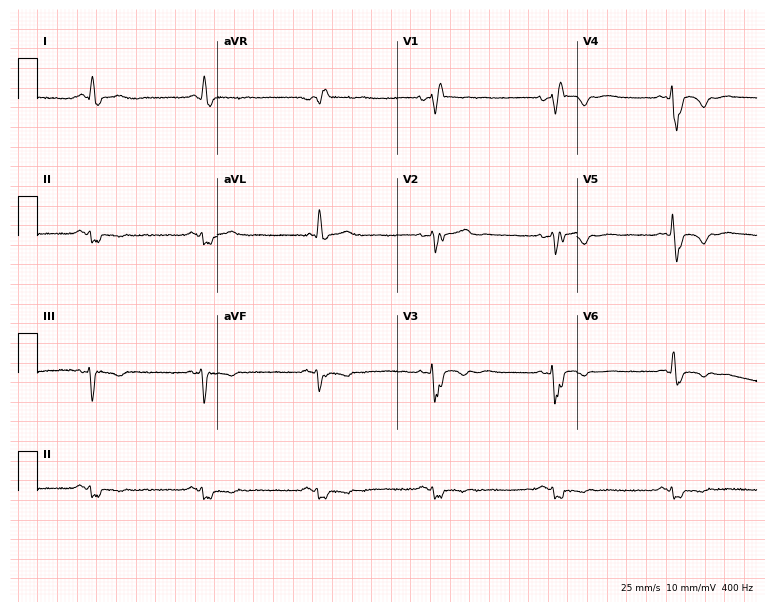
12-lead ECG from a male patient, 56 years old (7.3-second recording at 400 Hz). Shows right bundle branch block.